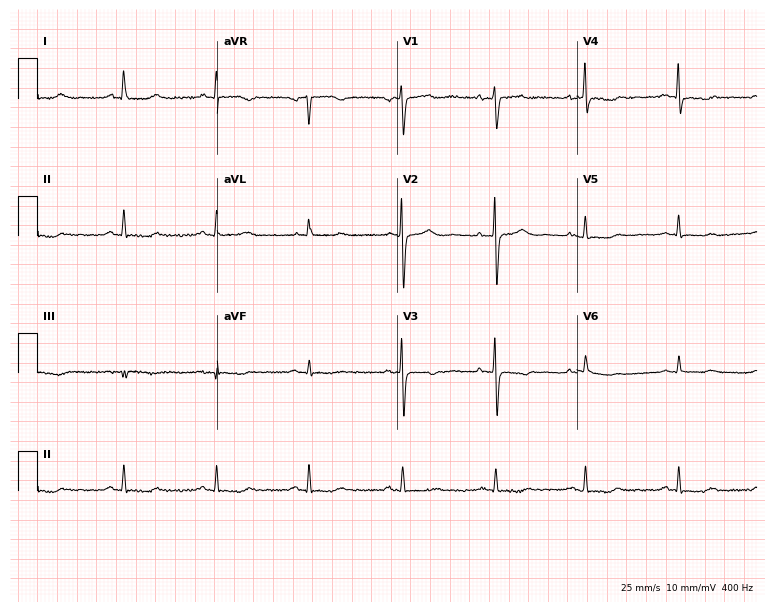
12-lead ECG from a woman, 54 years old. No first-degree AV block, right bundle branch block, left bundle branch block, sinus bradycardia, atrial fibrillation or sinus tachycardia recorded for this tracing.